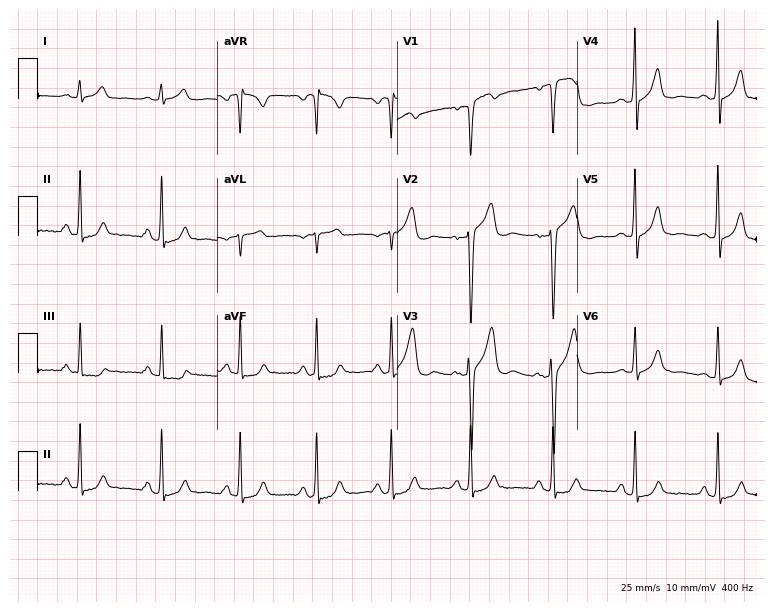
Resting 12-lead electrocardiogram (7.3-second recording at 400 Hz). Patient: a 51-year-old male. None of these six findings is recorded: first-degree AV block, right bundle branch block, left bundle branch block, sinus bradycardia, atrial fibrillation, sinus tachycardia.